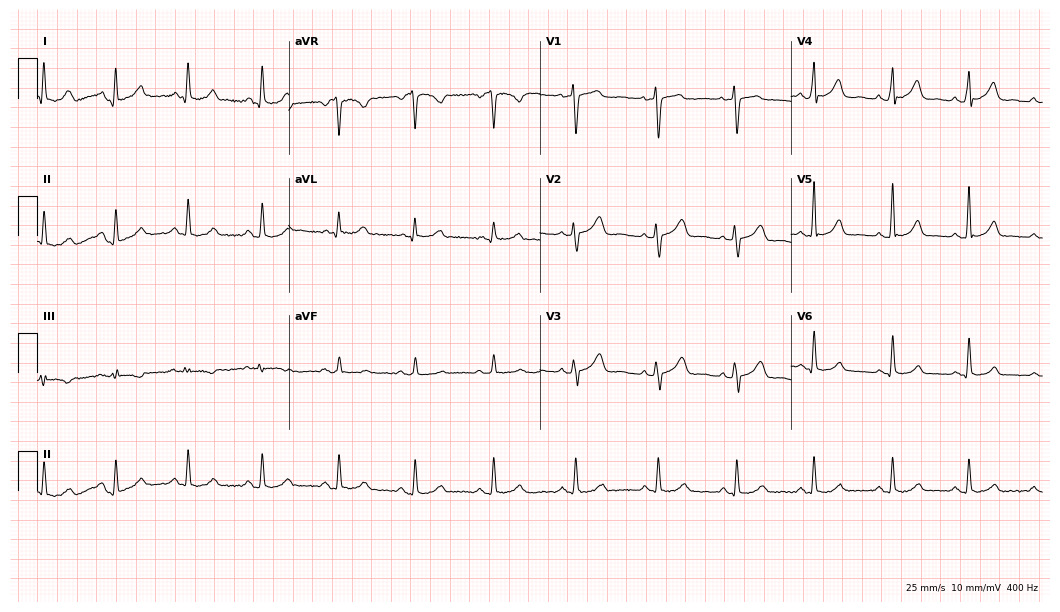
12-lead ECG from a female patient, 34 years old (10.2-second recording at 400 Hz). Recorded interpretation: within normal limits.